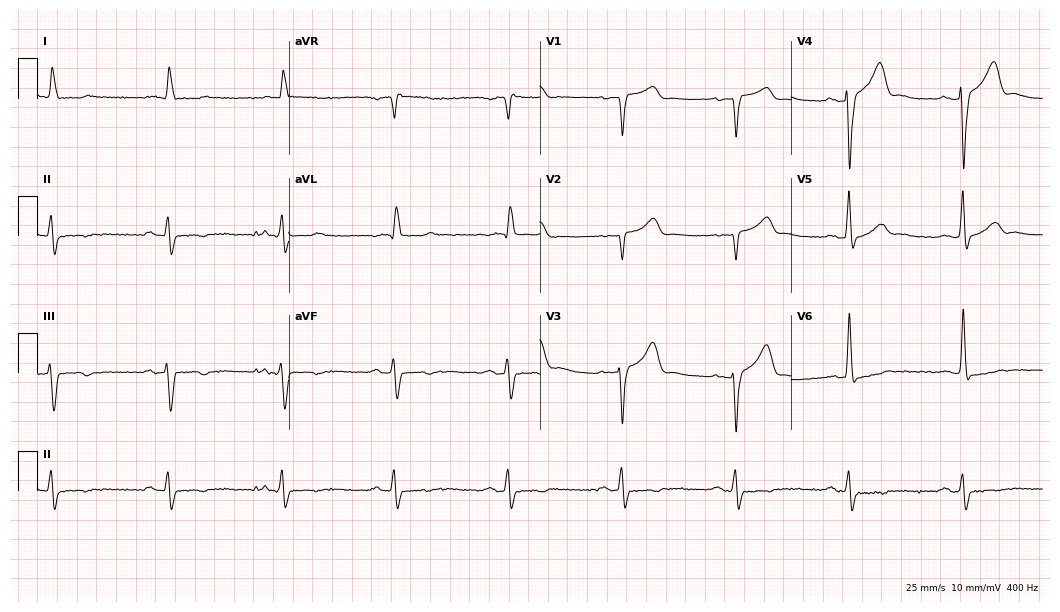
ECG — a 76-year-old man. Screened for six findings — first-degree AV block, right bundle branch block, left bundle branch block, sinus bradycardia, atrial fibrillation, sinus tachycardia — none is recorded. Only these six findings were labelled.